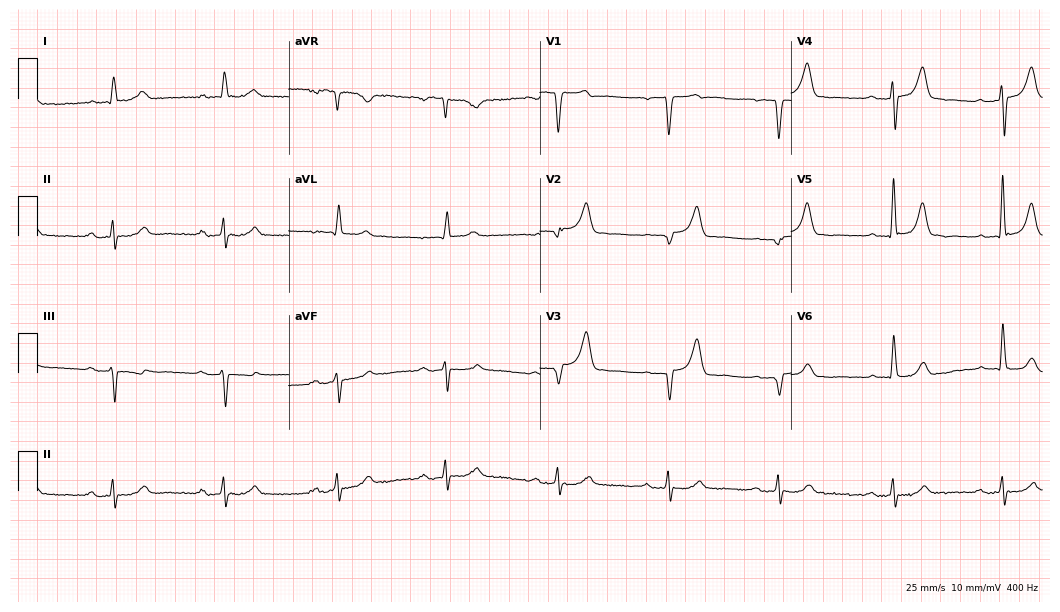
Standard 12-lead ECG recorded from a 76-year-old male (10.2-second recording at 400 Hz). The tracing shows first-degree AV block.